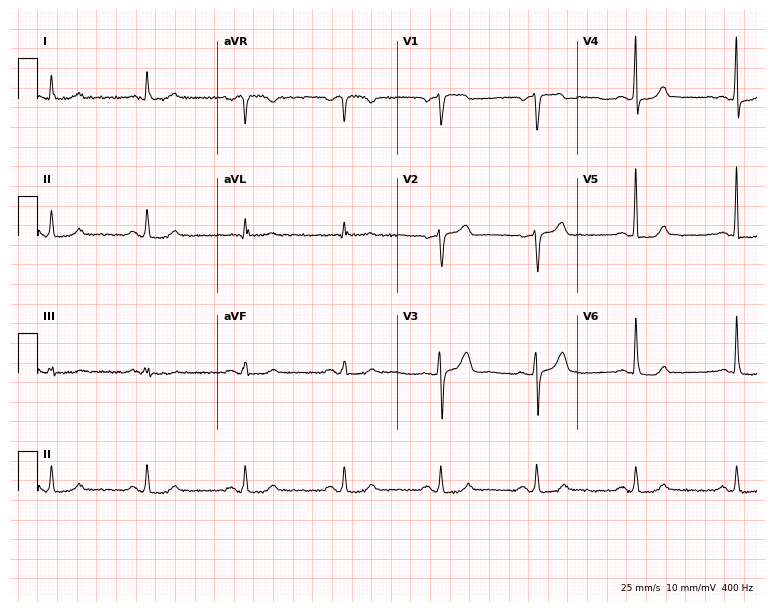
ECG — a man, 65 years old. Labelled as a normal ECG.